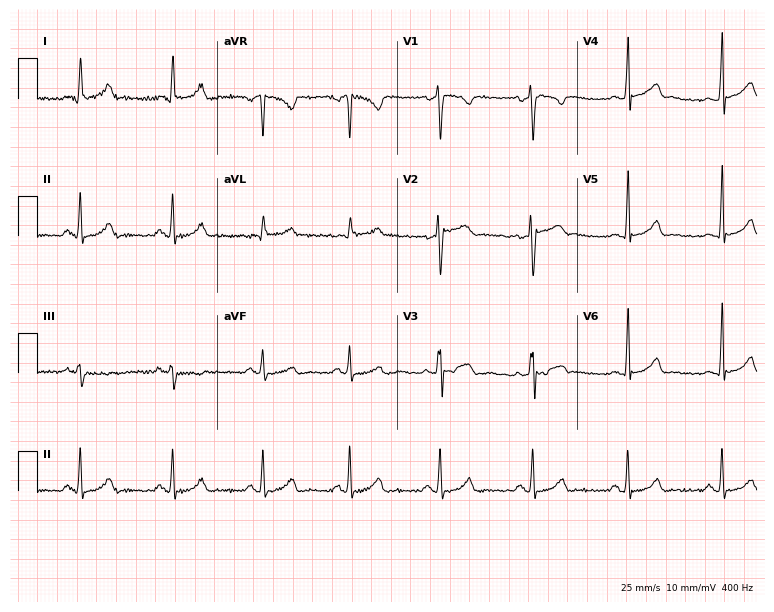
Standard 12-lead ECG recorded from a 44-year-old woman (7.3-second recording at 400 Hz). Read as a normal ECG.